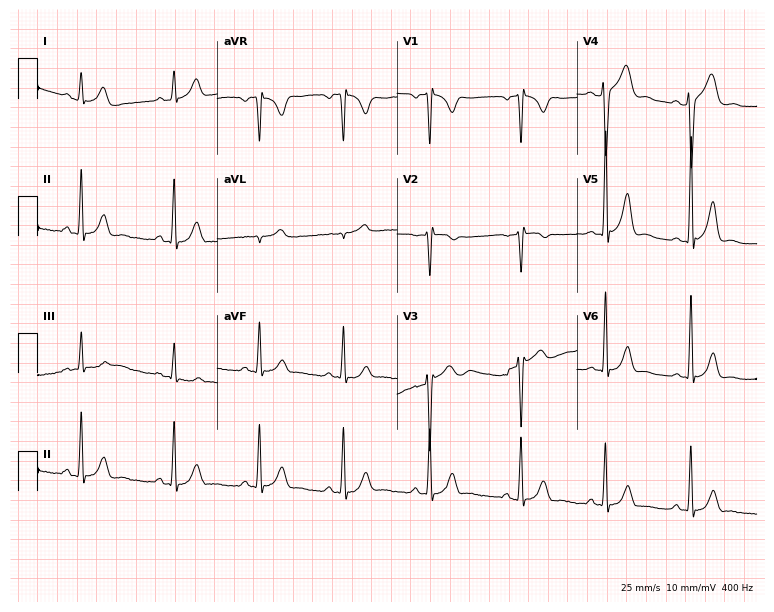
Electrocardiogram, a 20-year-old male patient. Of the six screened findings (first-degree AV block, right bundle branch block, left bundle branch block, sinus bradycardia, atrial fibrillation, sinus tachycardia), none is recorded.